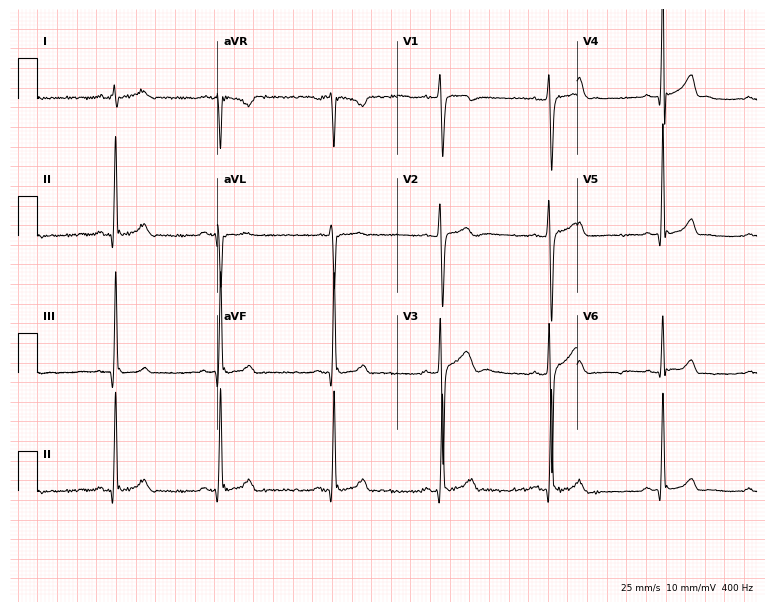
Electrocardiogram, a man, 19 years old. Of the six screened findings (first-degree AV block, right bundle branch block, left bundle branch block, sinus bradycardia, atrial fibrillation, sinus tachycardia), none is recorded.